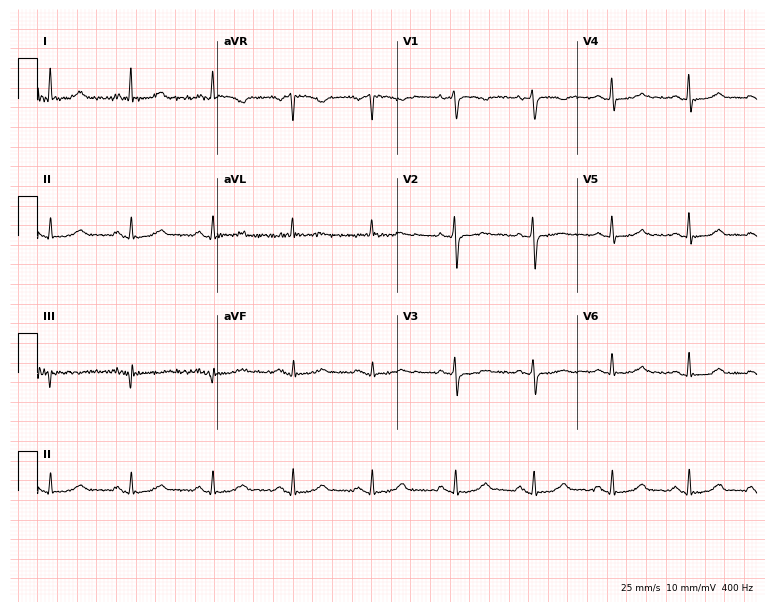
ECG (7.3-second recording at 400 Hz) — a 65-year-old female patient. Labelled as a normal ECG.